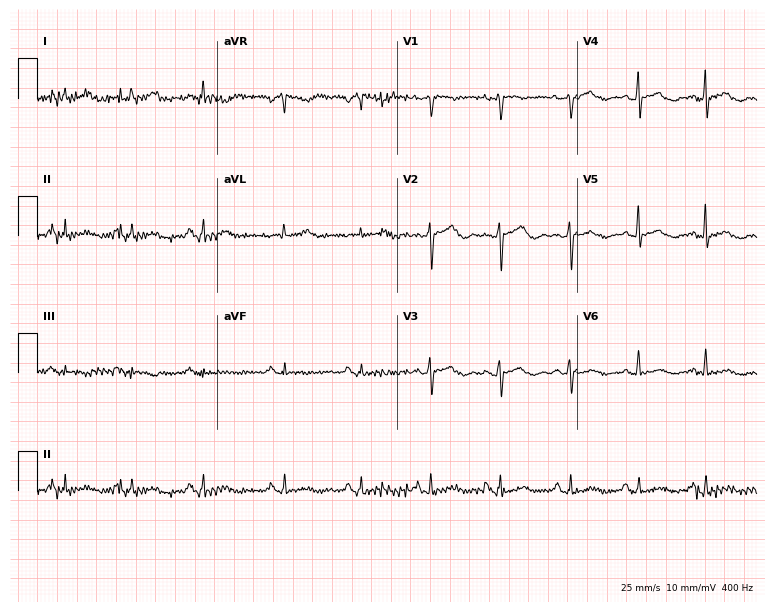
Resting 12-lead electrocardiogram. Patient: a 45-year-old female. None of these six findings is recorded: first-degree AV block, right bundle branch block (RBBB), left bundle branch block (LBBB), sinus bradycardia, atrial fibrillation (AF), sinus tachycardia. Only these six findings were labelled.